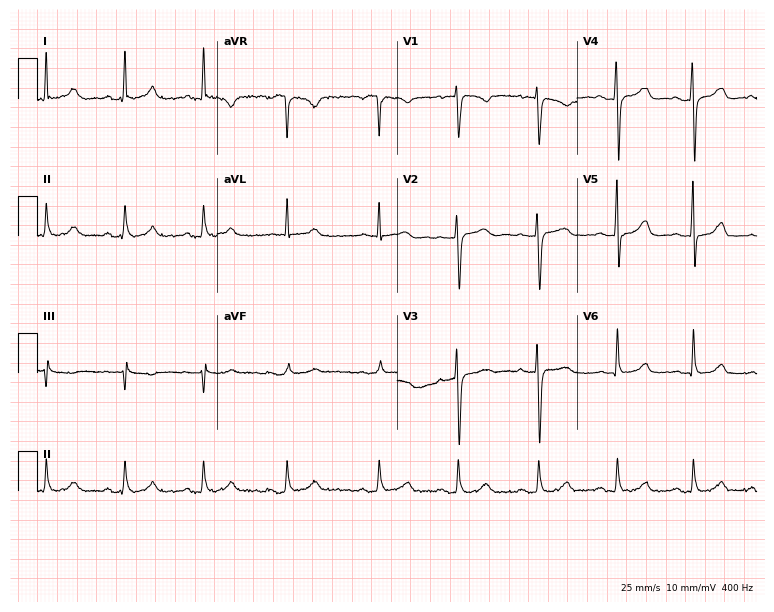
ECG (7.3-second recording at 400 Hz) — a 53-year-old female patient. Screened for six findings — first-degree AV block, right bundle branch block (RBBB), left bundle branch block (LBBB), sinus bradycardia, atrial fibrillation (AF), sinus tachycardia — none is recorded.